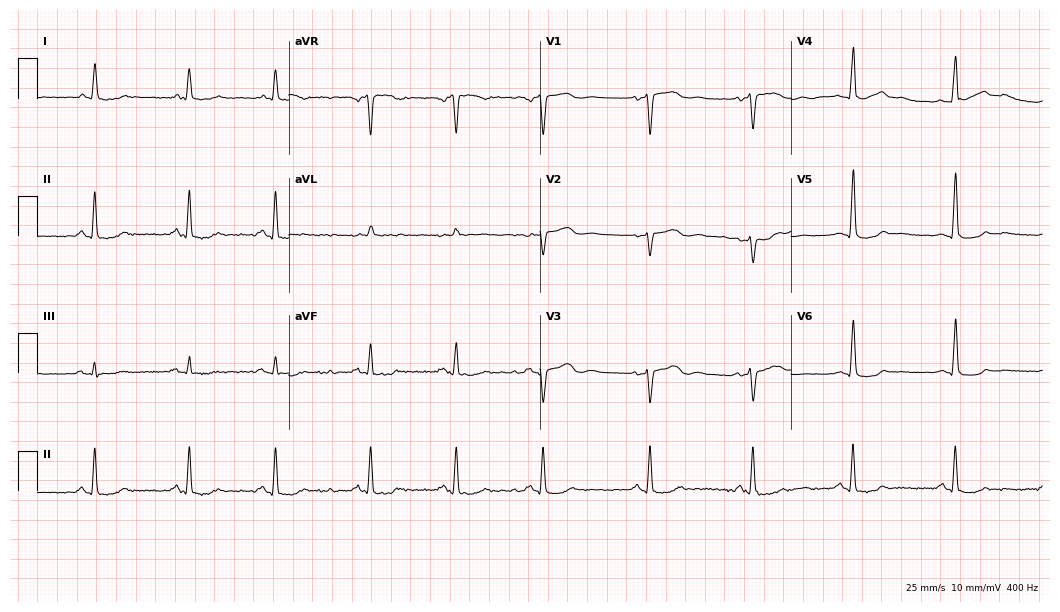
12-lead ECG from a 55-year-old female. Screened for six findings — first-degree AV block, right bundle branch block, left bundle branch block, sinus bradycardia, atrial fibrillation, sinus tachycardia — none is recorded. Other findings, if any, are not listed.